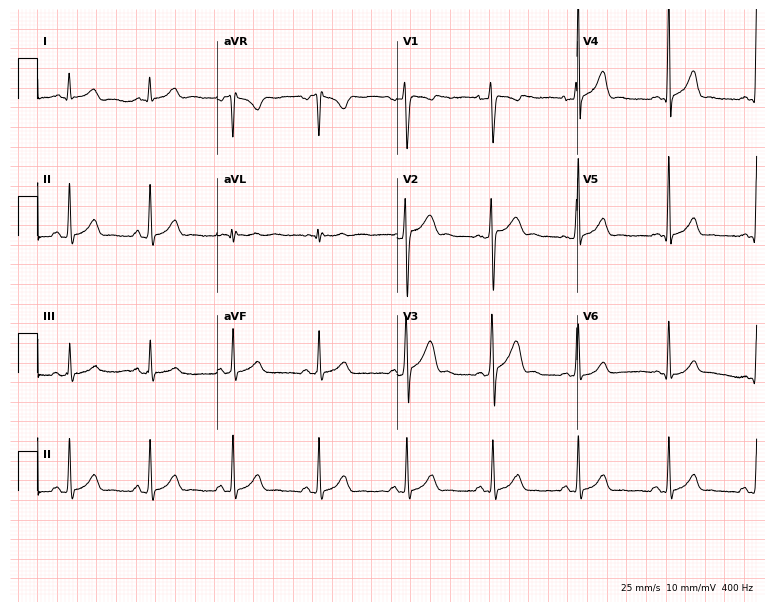
12-lead ECG (7.3-second recording at 400 Hz) from a 21-year-old male patient. Labelled as a normal ECG.